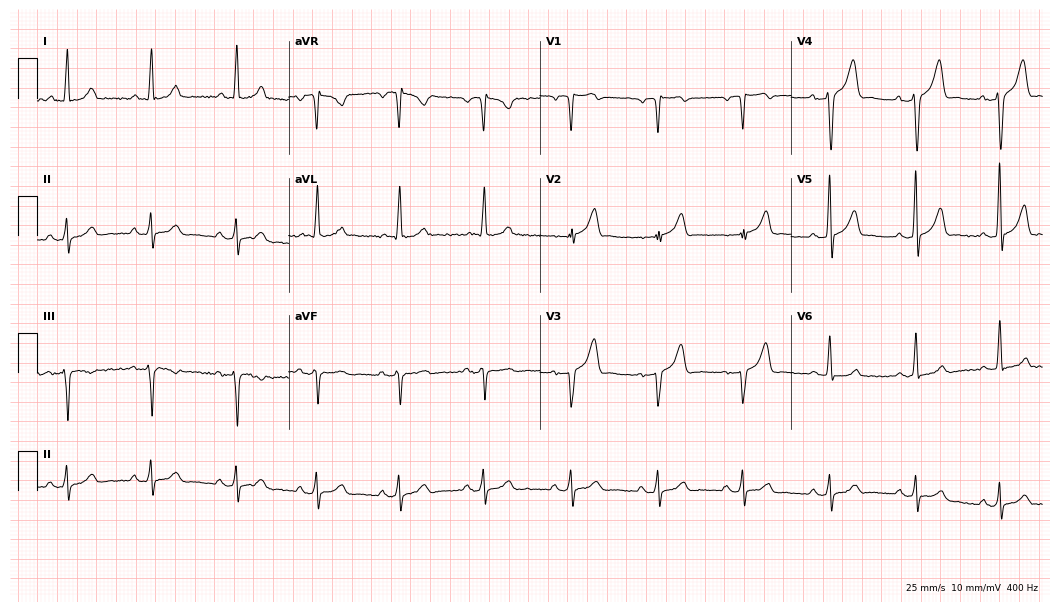
Resting 12-lead electrocardiogram (10.2-second recording at 400 Hz). Patient: a man, 53 years old. None of these six findings is recorded: first-degree AV block, right bundle branch block, left bundle branch block, sinus bradycardia, atrial fibrillation, sinus tachycardia.